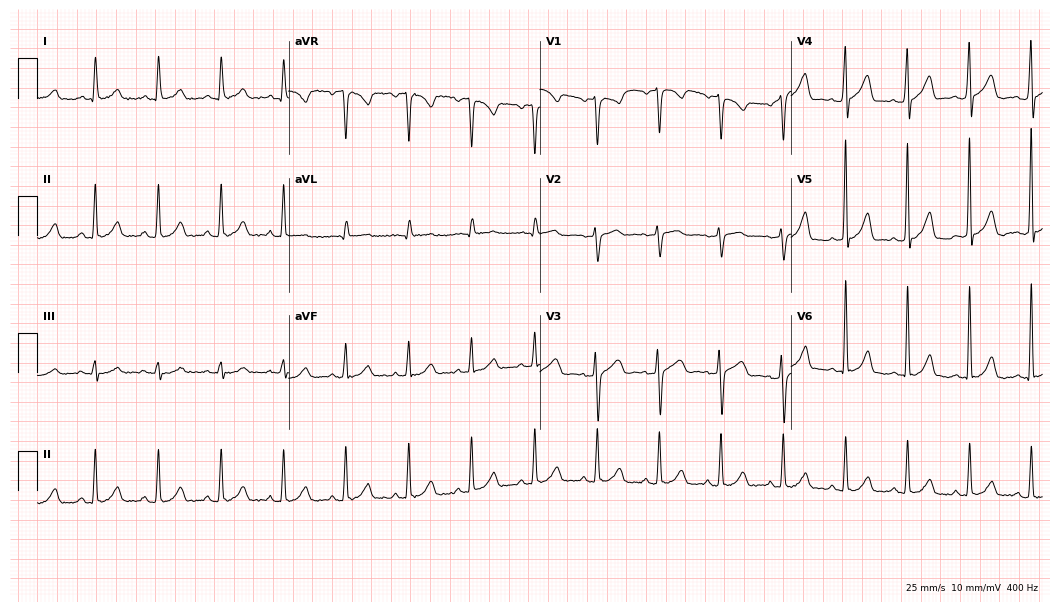
Standard 12-lead ECG recorded from a woman, 57 years old. None of these six findings is recorded: first-degree AV block, right bundle branch block, left bundle branch block, sinus bradycardia, atrial fibrillation, sinus tachycardia. Findings outside these six are not listed.